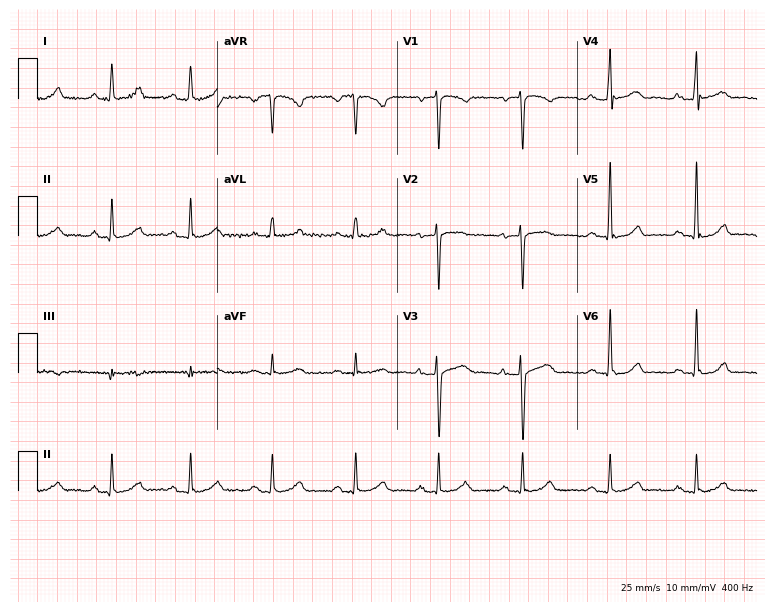
Standard 12-lead ECG recorded from a 48-year-old woman (7.3-second recording at 400 Hz). Read as a normal ECG.